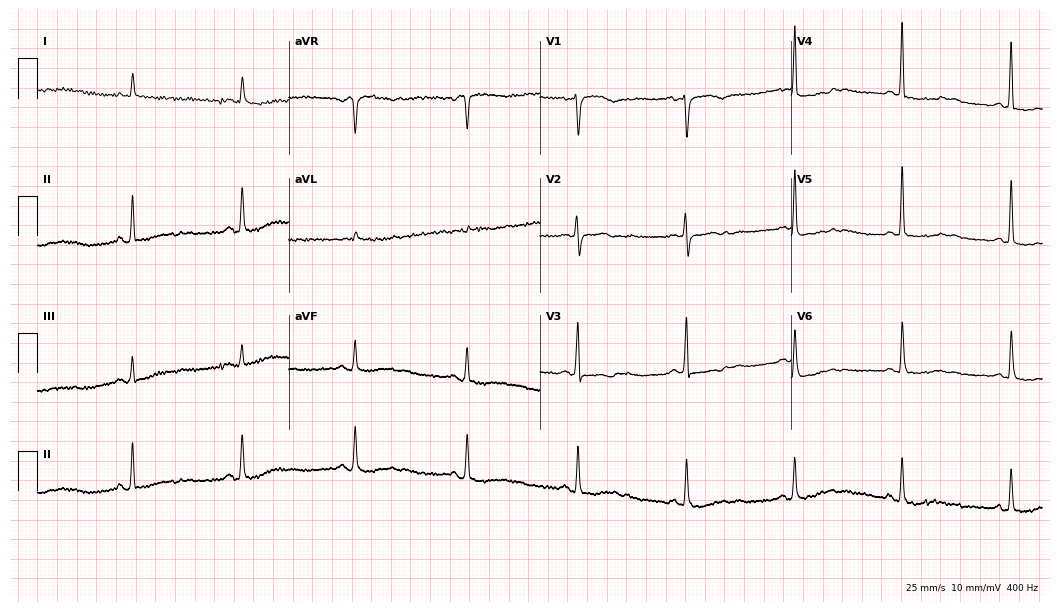
Electrocardiogram (10.2-second recording at 400 Hz), a female, 65 years old. Of the six screened findings (first-degree AV block, right bundle branch block, left bundle branch block, sinus bradycardia, atrial fibrillation, sinus tachycardia), none is recorded.